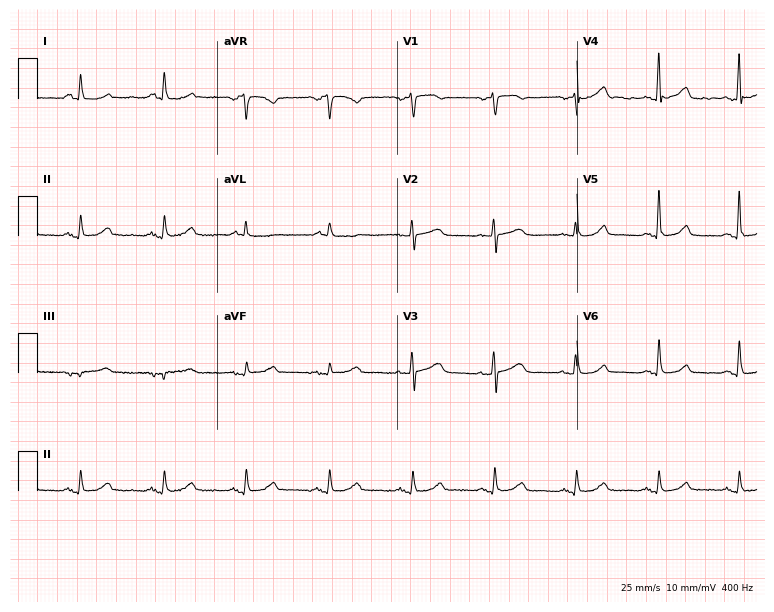
12-lead ECG from a female, 73 years old. Labelled as a normal ECG.